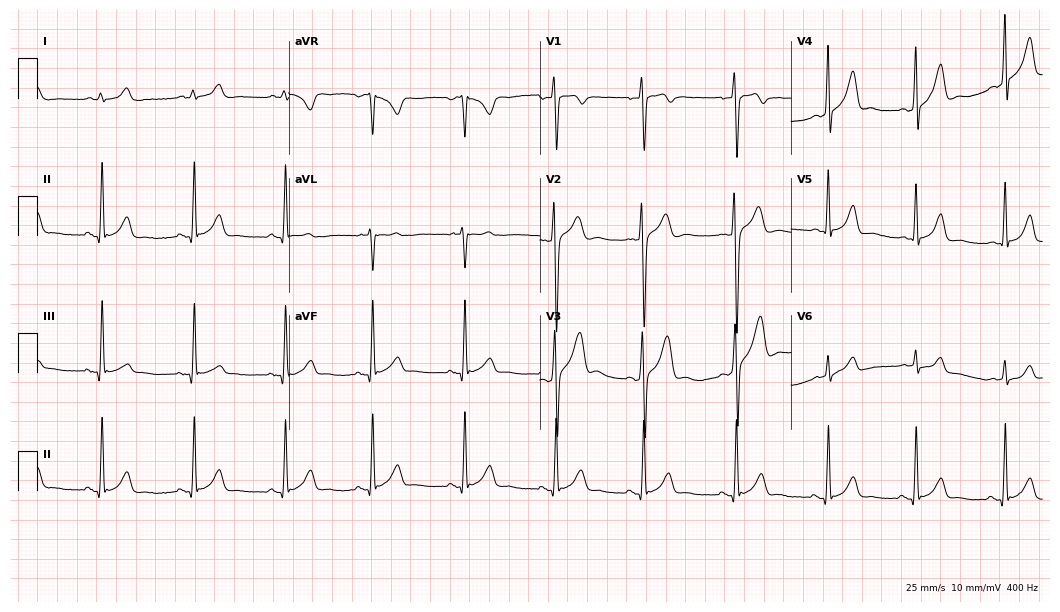
ECG — a man, 20 years old. Labelled as a normal ECG.